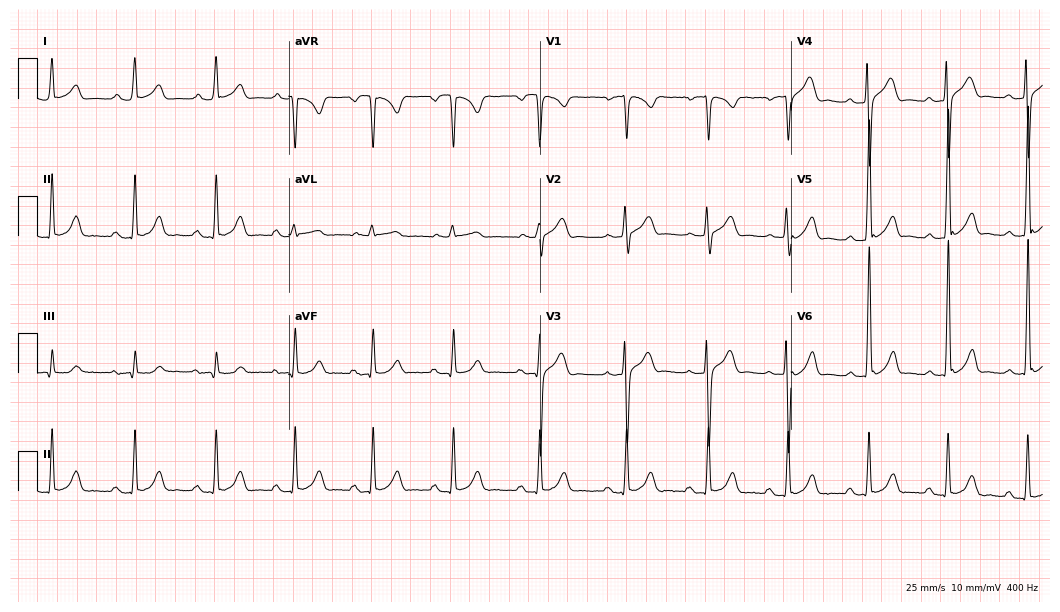
Electrocardiogram, a 25-year-old male. Overall reading on record: normal ECG.